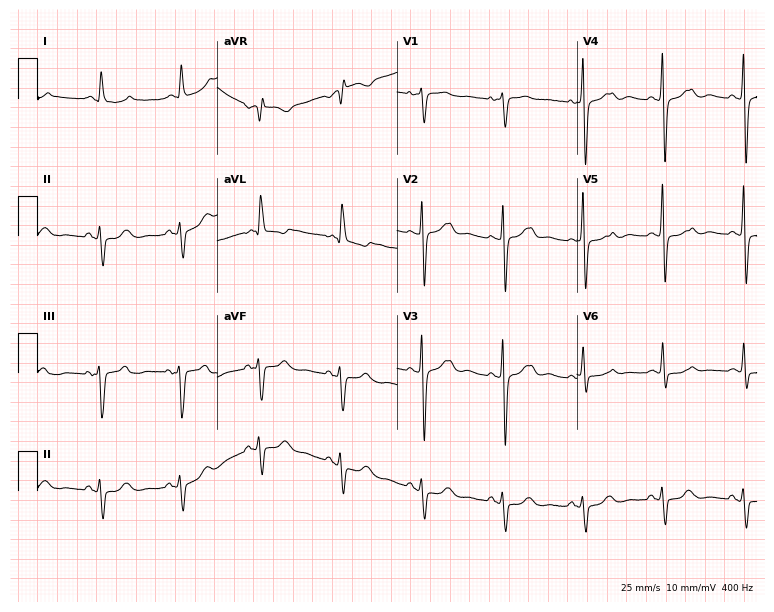
12-lead ECG from an 84-year-old female patient. No first-degree AV block, right bundle branch block, left bundle branch block, sinus bradycardia, atrial fibrillation or sinus tachycardia recorded for this tracing.